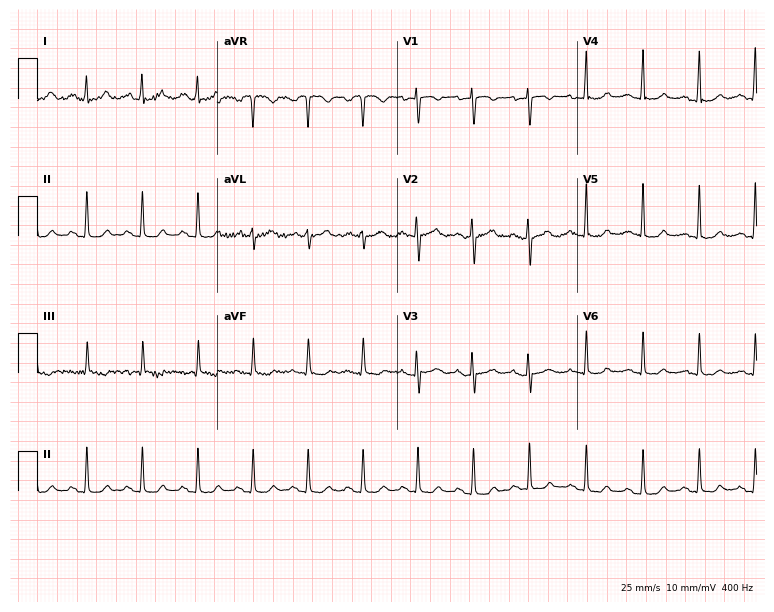
12-lead ECG from a female patient, 31 years old (7.3-second recording at 400 Hz). Shows sinus tachycardia (a sinus rate of 100 beats per minute or more).